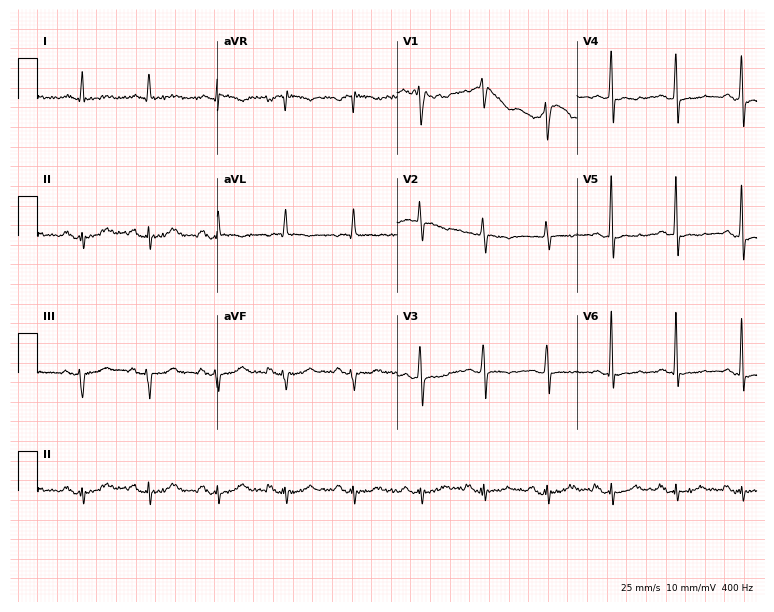
12-lead ECG from a female, 58 years old. No first-degree AV block, right bundle branch block (RBBB), left bundle branch block (LBBB), sinus bradycardia, atrial fibrillation (AF) or sinus tachycardia recorded for this tracing.